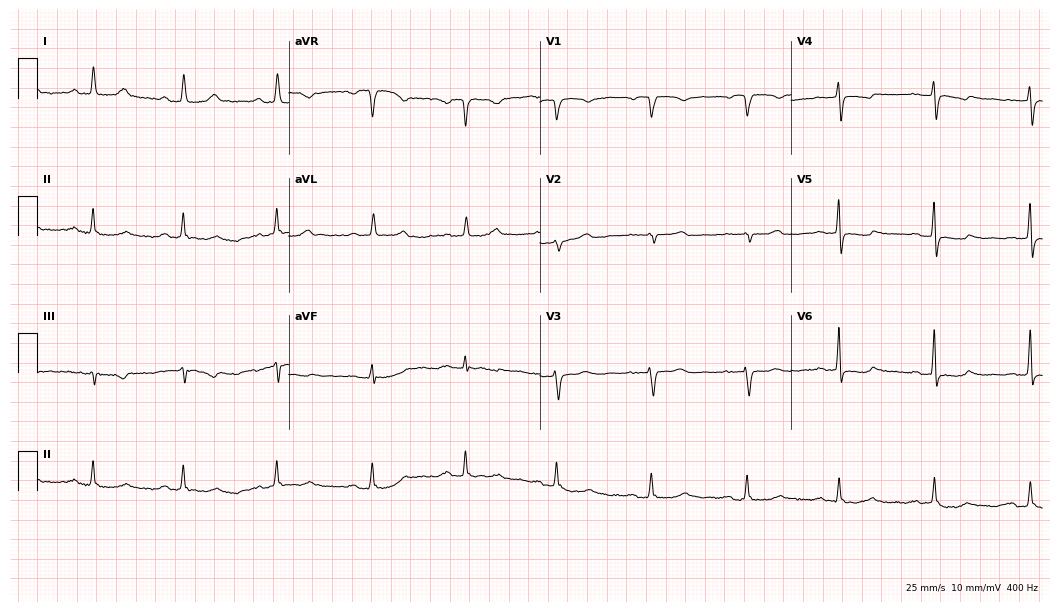
Resting 12-lead electrocardiogram (10.2-second recording at 400 Hz). Patient: a woman, 73 years old. None of these six findings is recorded: first-degree AV block, right bundle branch block (RBBB), left bundle branch block (LBBB), sinus bradycardia, atrial fibrillation (AF), sinus tachycardia.